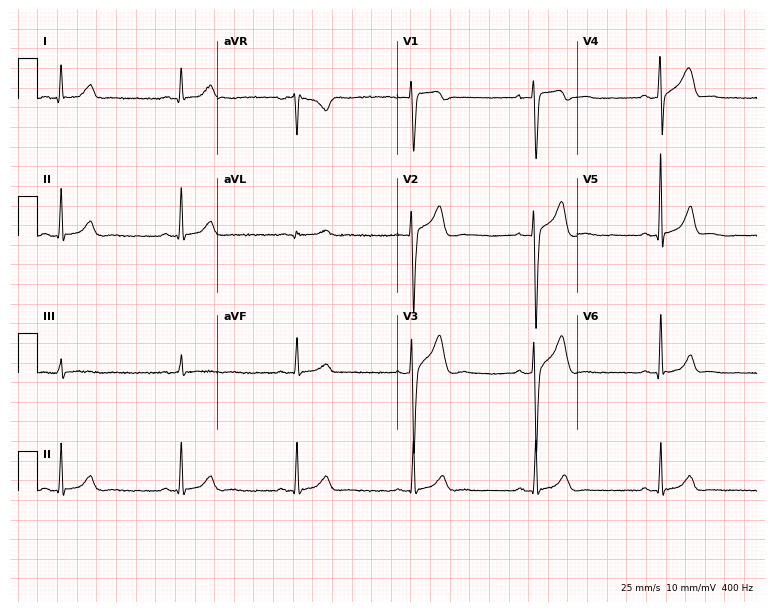
Resting 12-lead electrocardiogram. Patient: a female, 50 years old. None of these six findings is recorded: first-degree AV block, right bundle branch block (RBBB), left bundle branch block (LBBB), sinus bradycardia, atrial fibrillation (AF), sinus tachycardia.